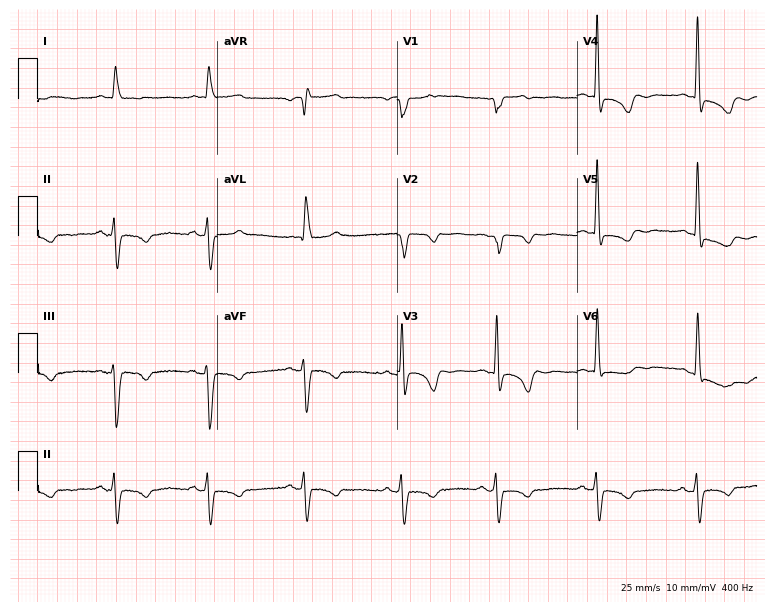
ECG (7.3-second recording at 400 Hz) — an 82-year-old female patient. Screened for six findings — first-degree AV block, right bundle branch block, left bundle branch block, sinus bradycardia, atrial fibrillation, sinus tachycardia — none is recorded. Other findings, if any, are not listed.